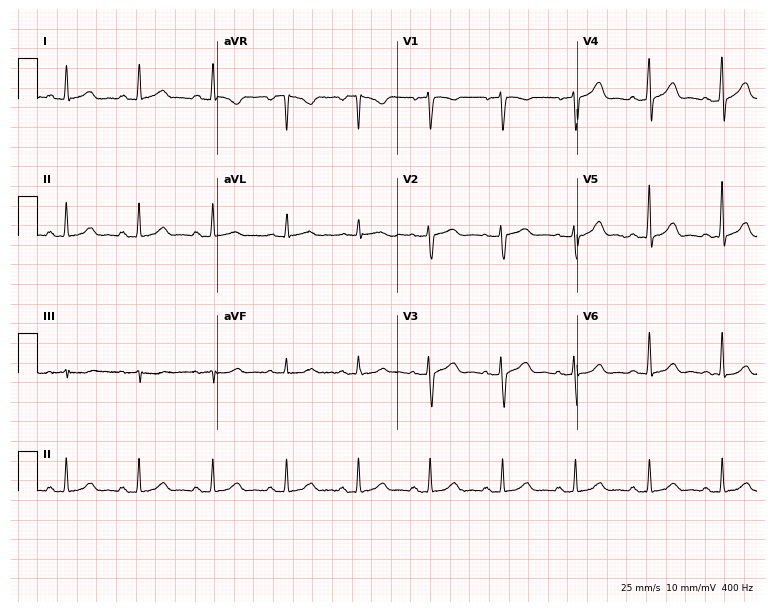
ECG — a 54-year-old woman. Screened for six findings — first-degree AV block, right bundle branch block (RBBB), left bundle branch block (LBBB), sinus bradycardia, atrial fibrillation (AF), sinus tachycardia — none is recorded.